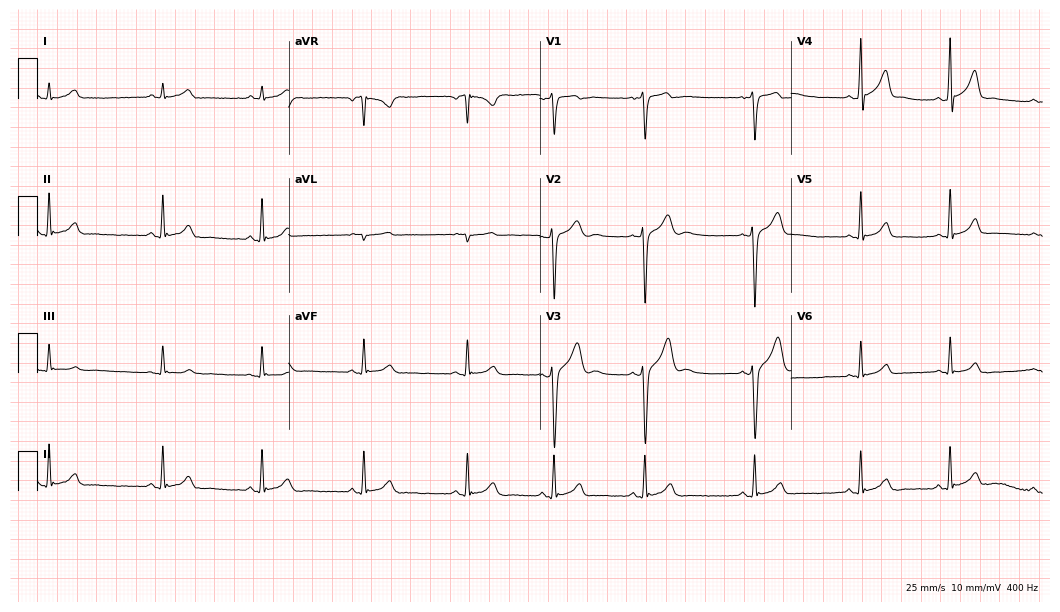
ECG (10.2-second recording at 400 Hz) — a male, 18 years old. Labelled as a normal ECG.